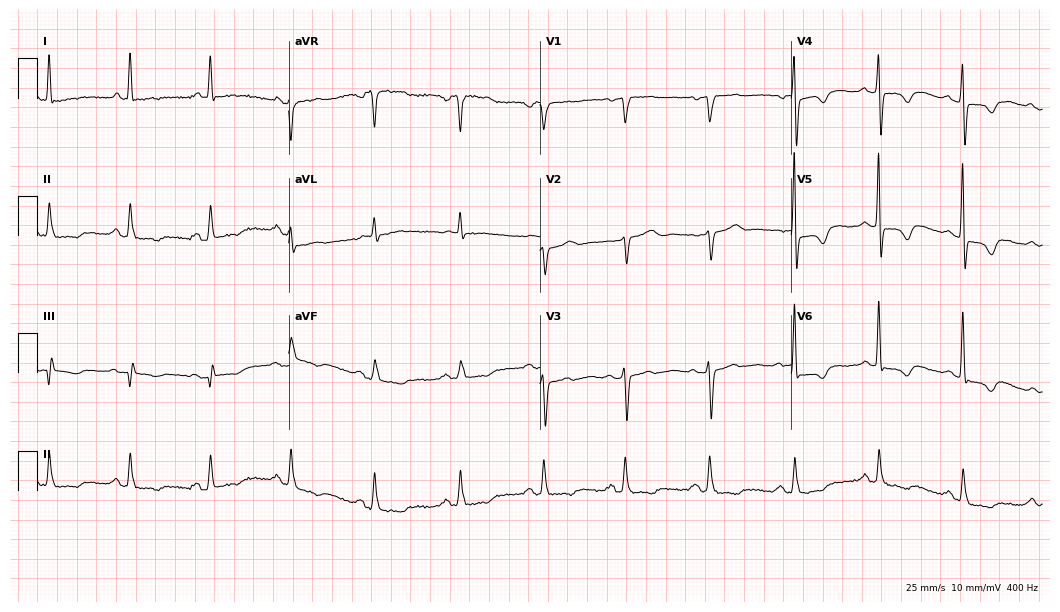
12-lead ECG (10.2-second recording at 400 Hz) from a woman, 61 years old. Screened for six findings — first-degree AV block, right bundle branch block, left bundle branch block, sinus bradycardia, atrial fibrillation, sinus tachycardia — none is recorded.